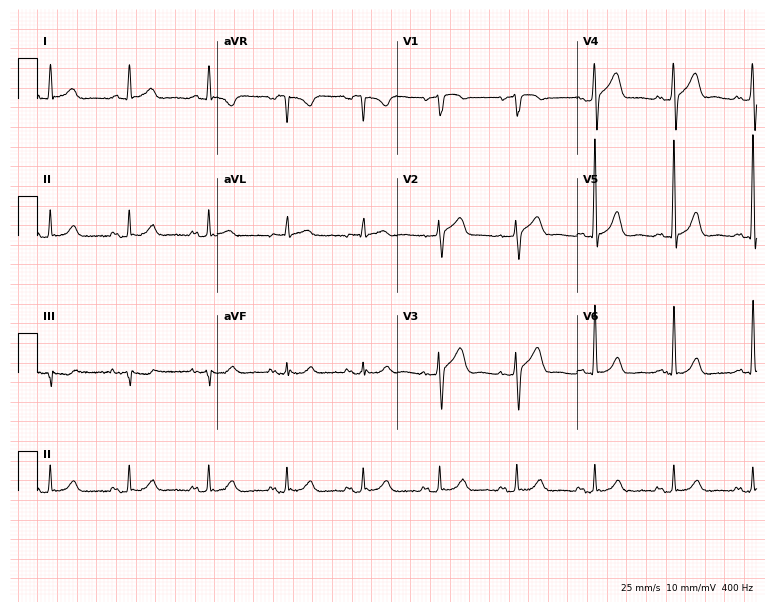
Standard 12-lead ECG recorded from a male patient, 61 years old (7.3-second recording at 400 Hz). Read as a normal ECG.